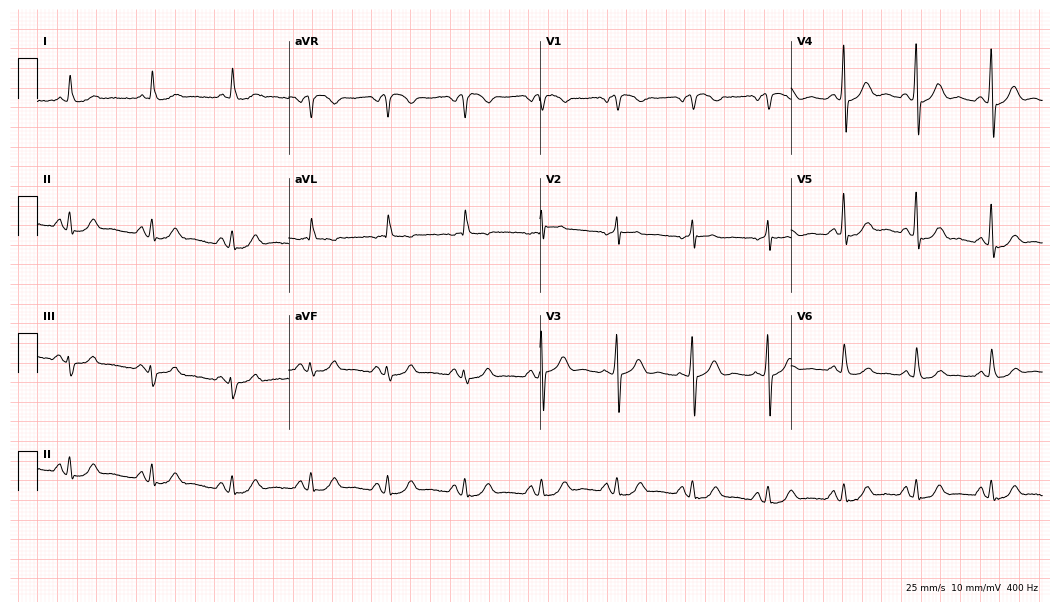
Electrocardiogram (10.2-second recording at 400 Hz), a male patient, 63 years old. Of the six screened findings (first-degree AV block, right bundle branch block (RBBB), left bundle branch block (LBBB), sinus bradycardia, atrial fibrillation (AF), sinus tachycardia), none is recorded. Other findings, if any, are not listed.